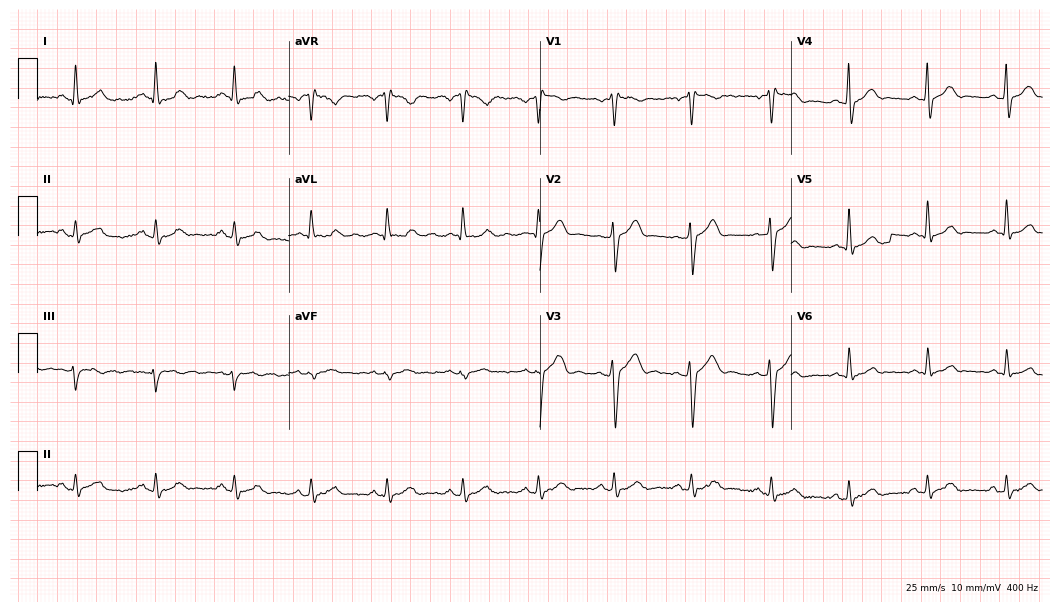
12-lead ECG from a 35-year-old male patient (10.2-second recording at 400 Hz). No first-degree AV block, right bundle branch block (RBBB), left bundle branch block (LBBB), sinus bradycardia, atrial fibrillation (AF) or sinus tachycardia recorded for this tracing.